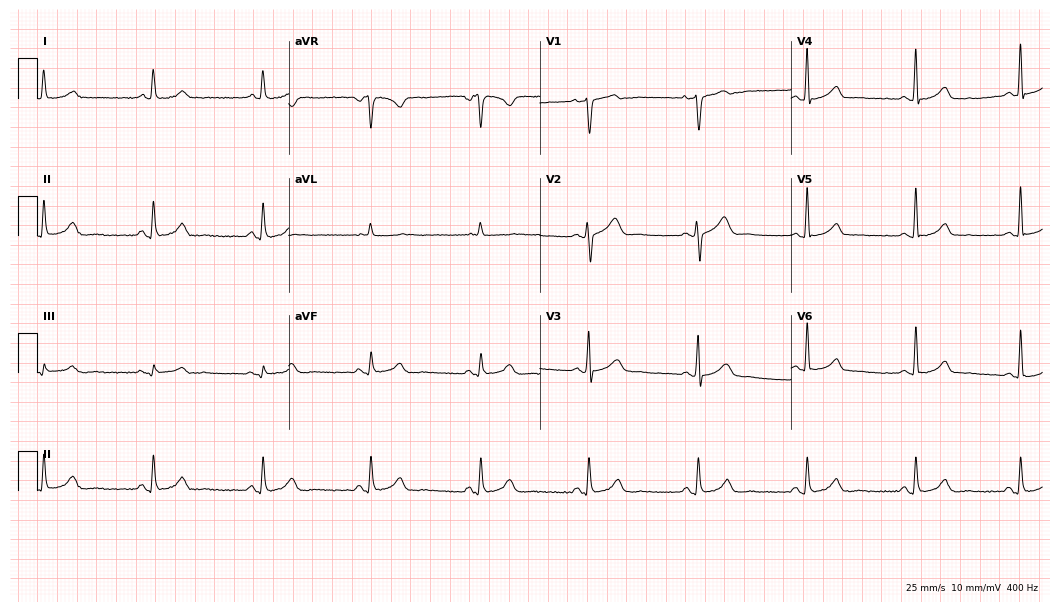
12-lead ECG (10.2-second recording at 400 Hz) from a female, 35 years old. Labelled as a normal ECG.